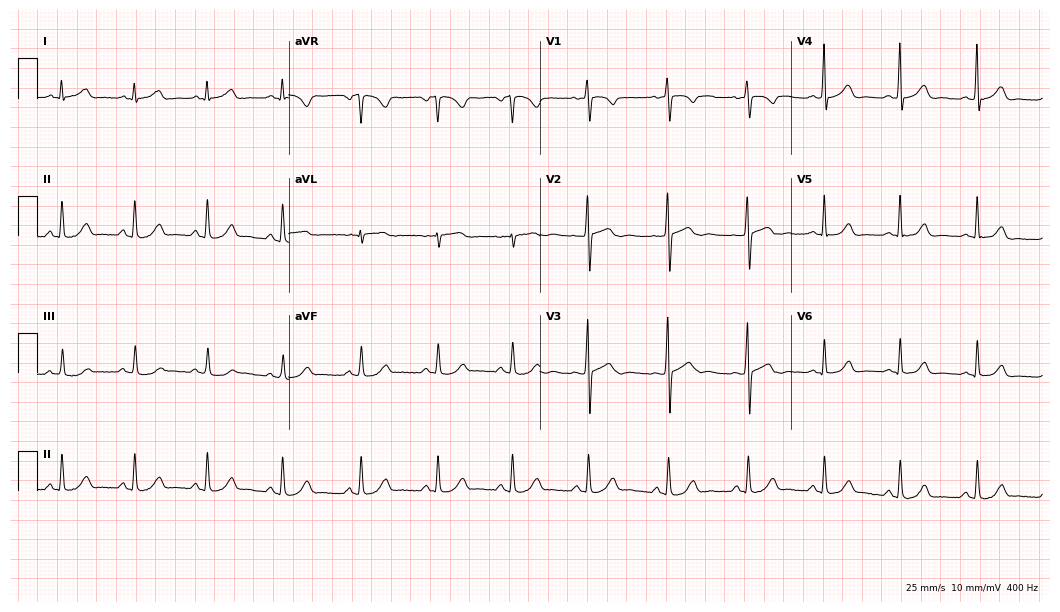
Standard 12-lead ECG recorded from a 34-year-old woman (10.2-second recording at 400 Hz). Read as a normal ECG.